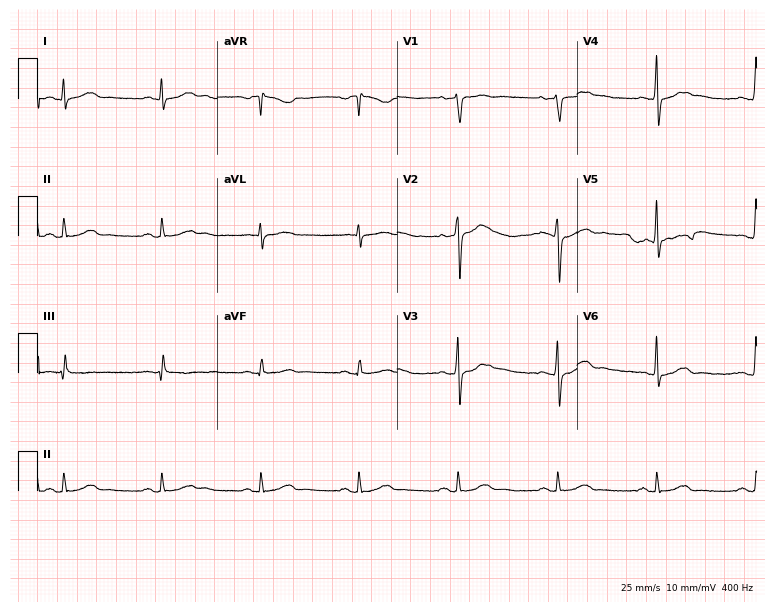
Resting 12-lead electrocardiogram (7.3-second recording at 400 Hz). Patient: a 52-year-old male. Read as a normal ECG.